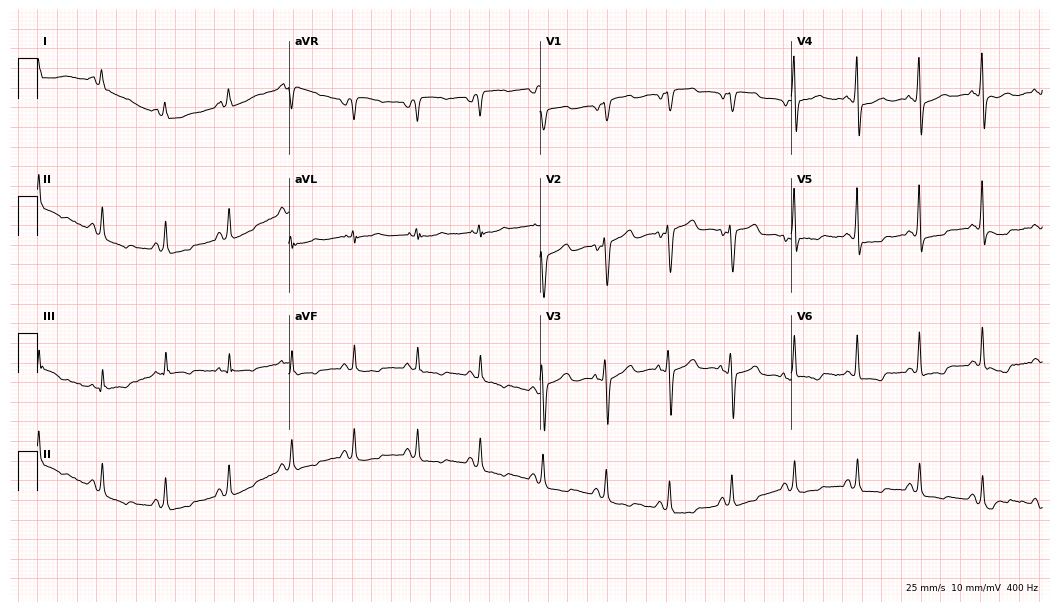
ECG (10.2-second recording at 400 Hz) — a 20-year-old female. Screened for six findings — first-degree AV block, right bundle branch block (RBBB), left bundle branch block (LBBB), sinus bradycardia, atrial fibrillation (AF), sinus tachycardia — none is recorded. Other findings, if any, are not listed.